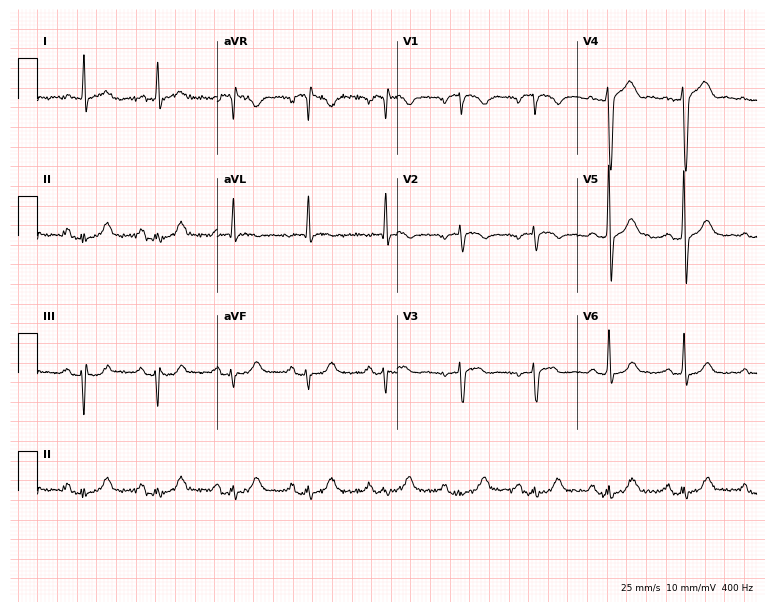
Resting 12-lead electrocardiogram (7.3-second recording at 400 Hz). Patient: a male, 68 years old. None of these six findings is recorded: first-degree AV block, right bundle branch block, left bundle branch block, sinus bradycardia, atrial fibrillation, sinus tachycardia. Only these six findings were labelled.